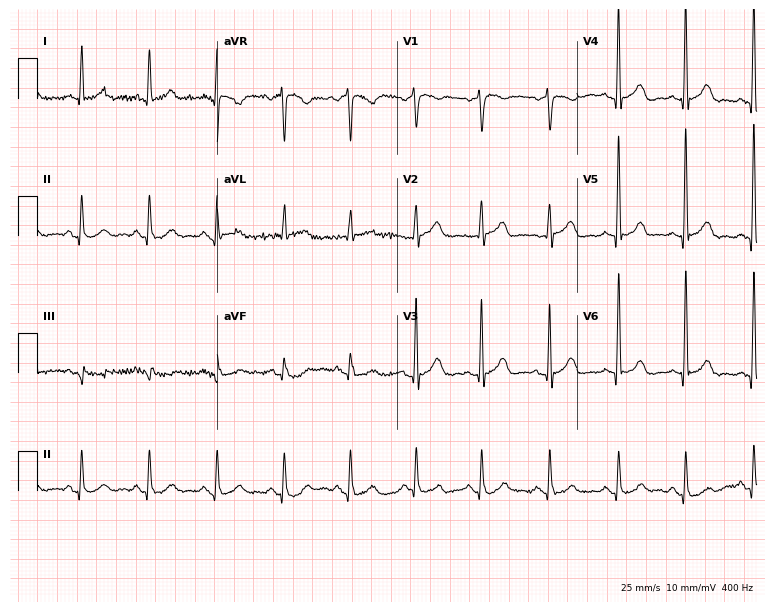
12-lead ECG from a 69-year-old male. Labelled as a normal ECG.